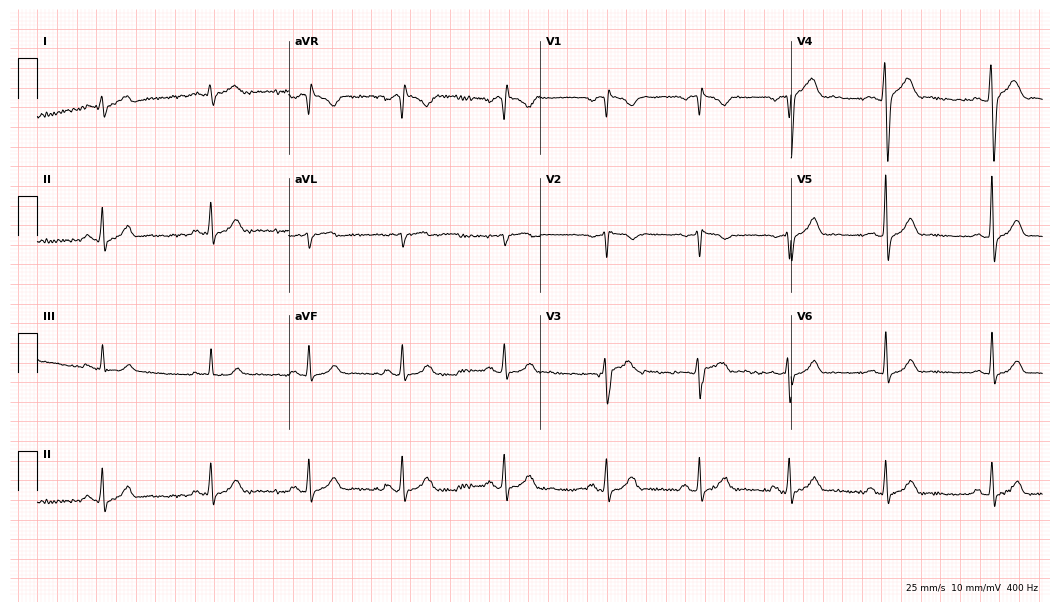
12-lead ECG from a 28-year-old man. Recorded interpretation: within normal limits.